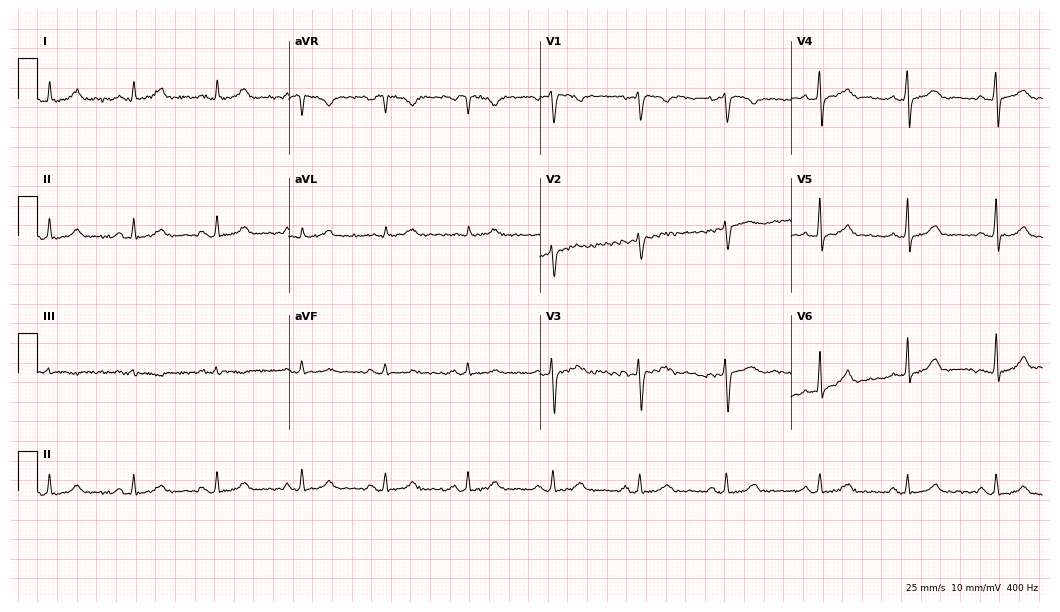
Electrocardiogram, a 28-year-old female. Overall reading on record: normal ECG.